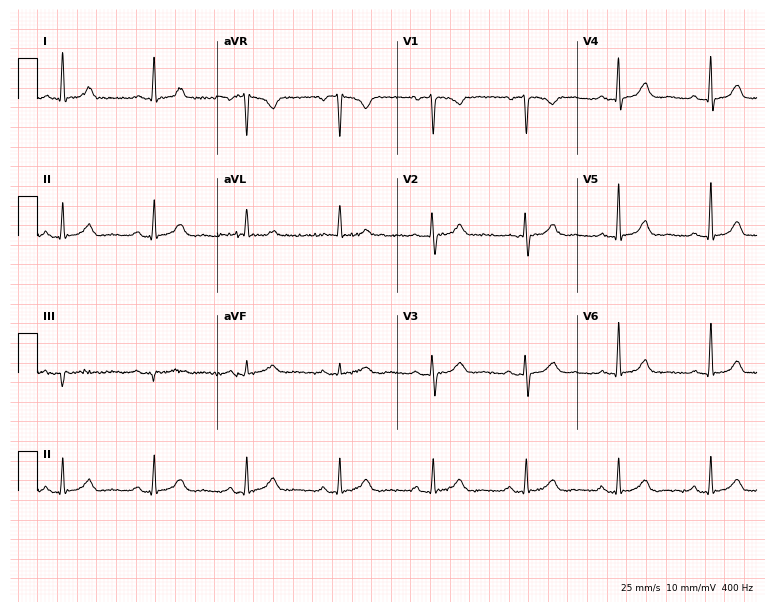
12-lead ECG from a female patient, 70 years old (7.3-second recording at 400 Hz). No first-degree AV block, right bundle branch block (RBBB), left bundle branch block (LBBB), sinus bradycardia, atrial fibrillation (AF) or sinus tachycardia recorded for this tracing. Findings outside these six are not listed.